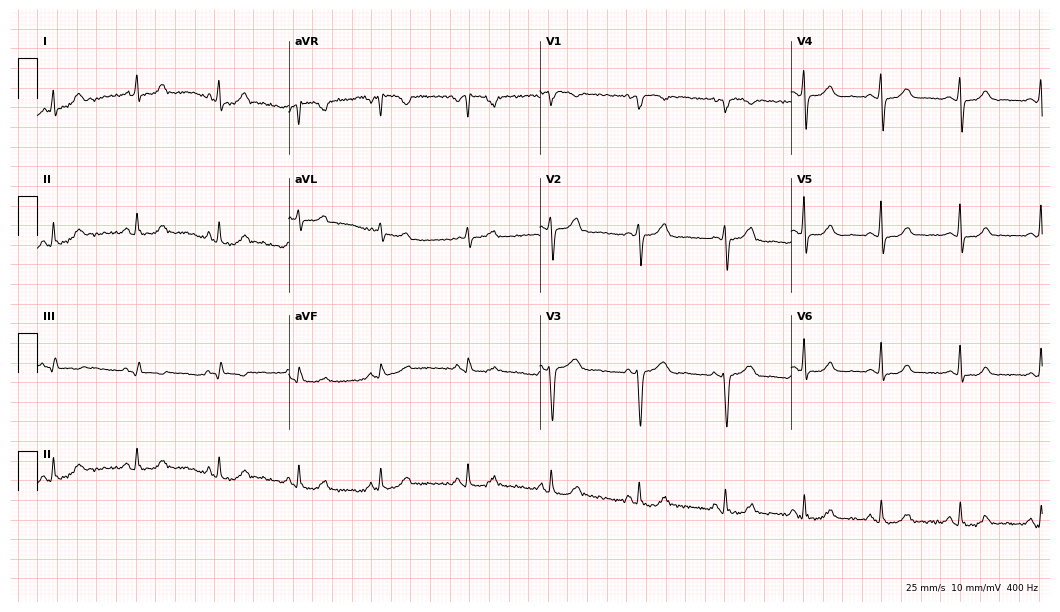
Standard 12-lead ECG recorded from a 51-year-old female patient (10.2-second recording at 400 Hz). None of these six findings is recorded: first-degree AV block, right bundle branch block, left bundle branch block, sinus bradycardia, atrial fibrillation, sinus tachycardia.